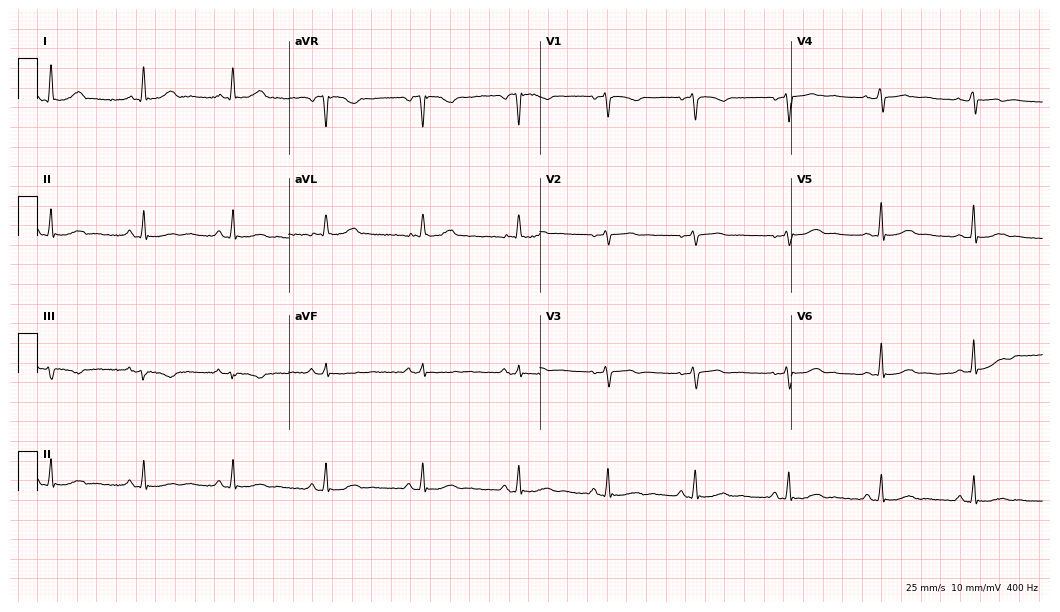
12-lead ECG (10.2-second recording at 400 Hz) from a 55-year-old woman. Screened for six findings — first-degree AV block, right bundle branch block (RBBB), left bundle branch block (LBBB), sinus bradycardia, atrial fibrillation (AF), sinus tachycardia — none is recorded. Only these six findings were labelled.